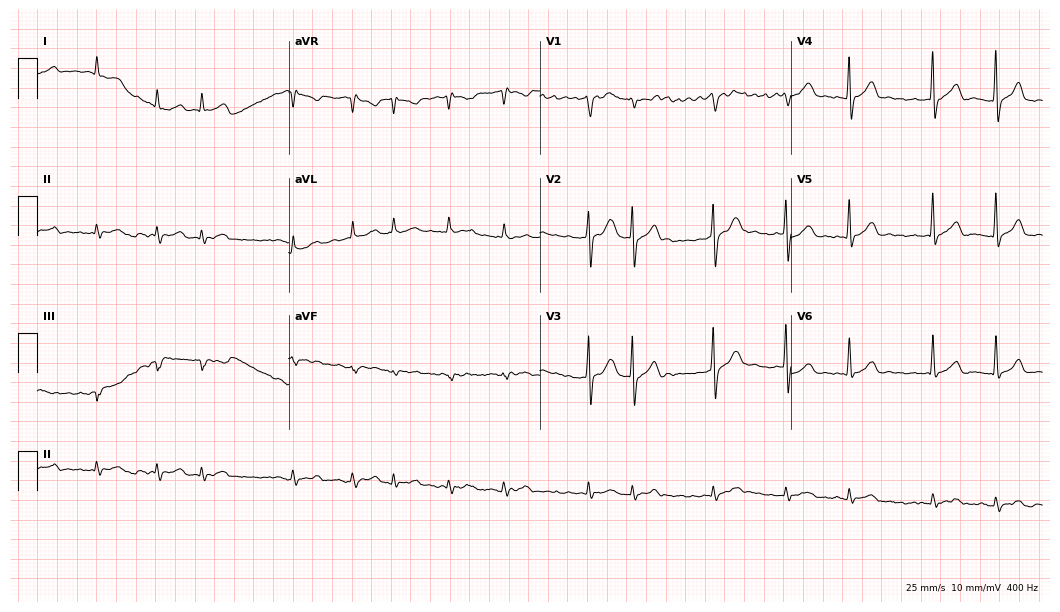
12-lead ECG from a 66-year-old male. Screened for six findings — first-degree AV block, right bundle branch block, left bundle branch block, sinus bradycardia, atrial fibrillation, sinus tachycardia — none is recorded.